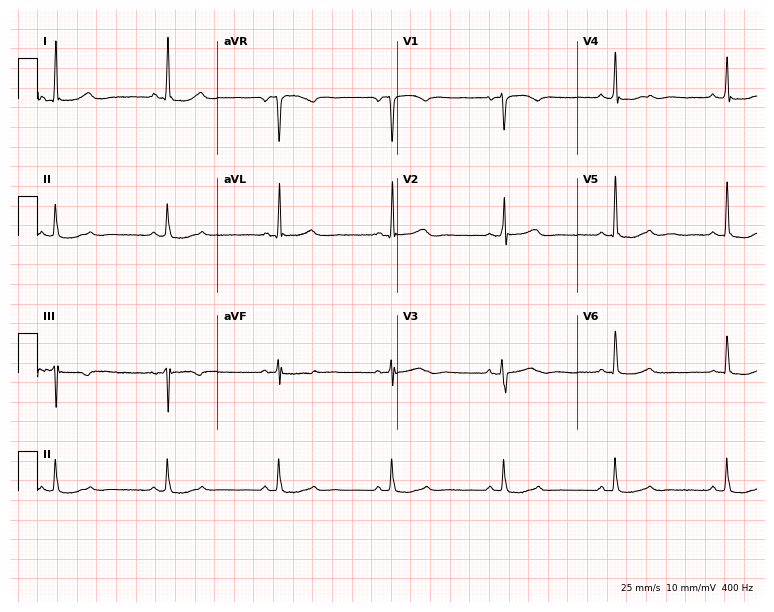
ECG (7.3-second recording at 400 Hz) — a 69-year-old female. Labelled as a normal ECG.